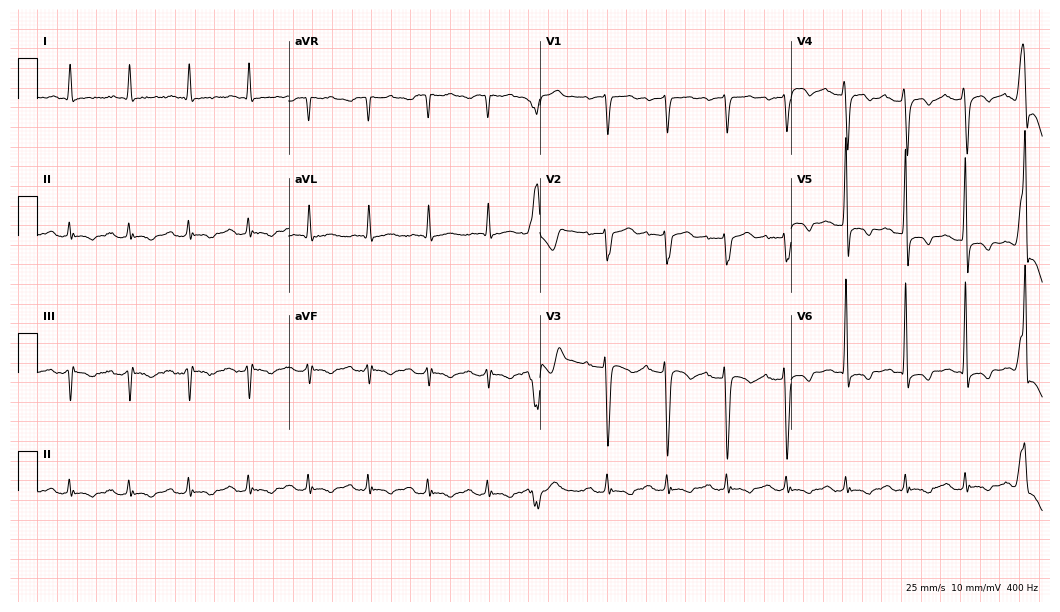
12-lead ECG from a male patient, 82 years old. Screened for six findings — first-degree AV block, right bundle branch block, left bundle branch block, sinus bradycardia, atrial fibrillation, sinus tachycardia — none is recorded. Other findings, if any, are not listed.